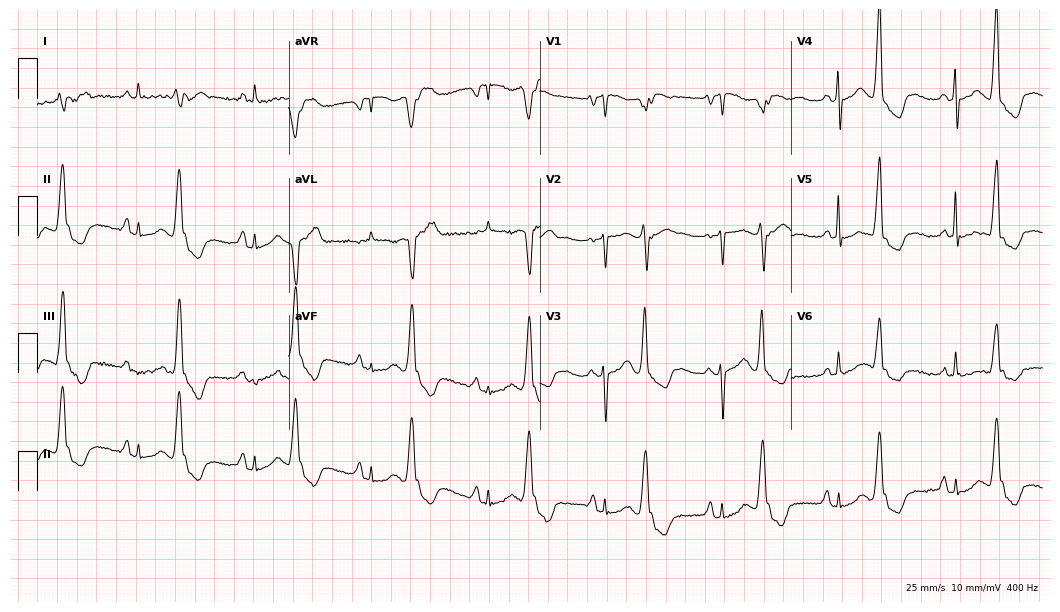
12-lead ECG from a female, 83 years old (10.2-second recording at 400 Hz). Shows sinus tachycardia (a sinus rate of 100 beats per minute or more).